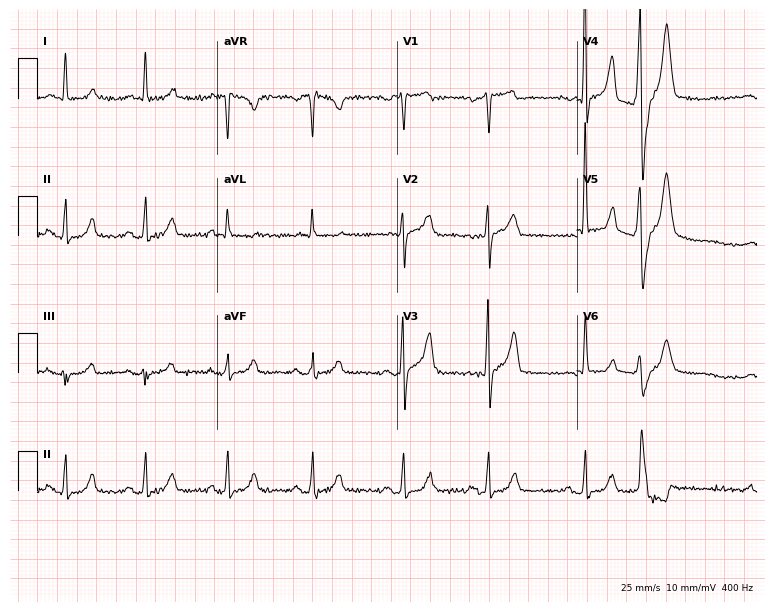
ECG (7.3-second recording at 400 Hz) — a 76-year-old man. Screened for six findings — first-degree AV block, right bundle branch block, left bundle branch block, sinus bradycardia, atrial fibrillation, sinus tachycardia — none is recorded.